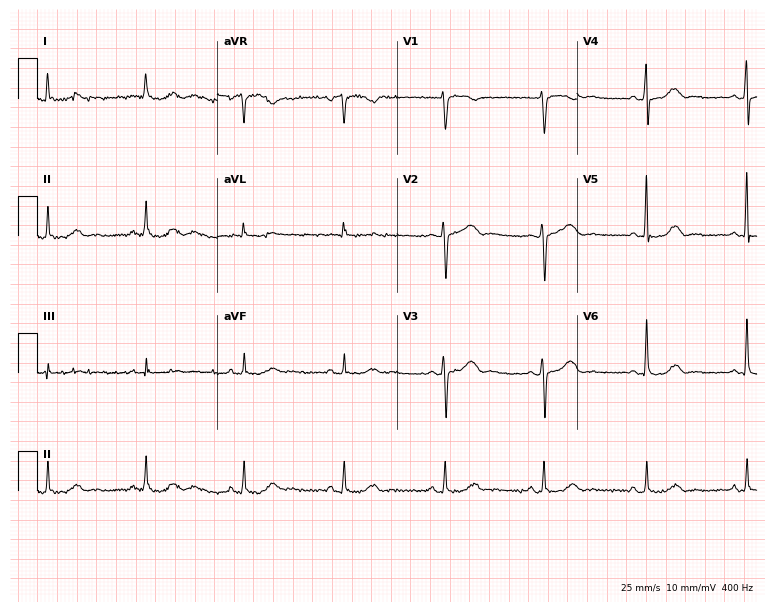
12-lead ECG from a 51-year-old female patient. Labelled as a normal ECG.